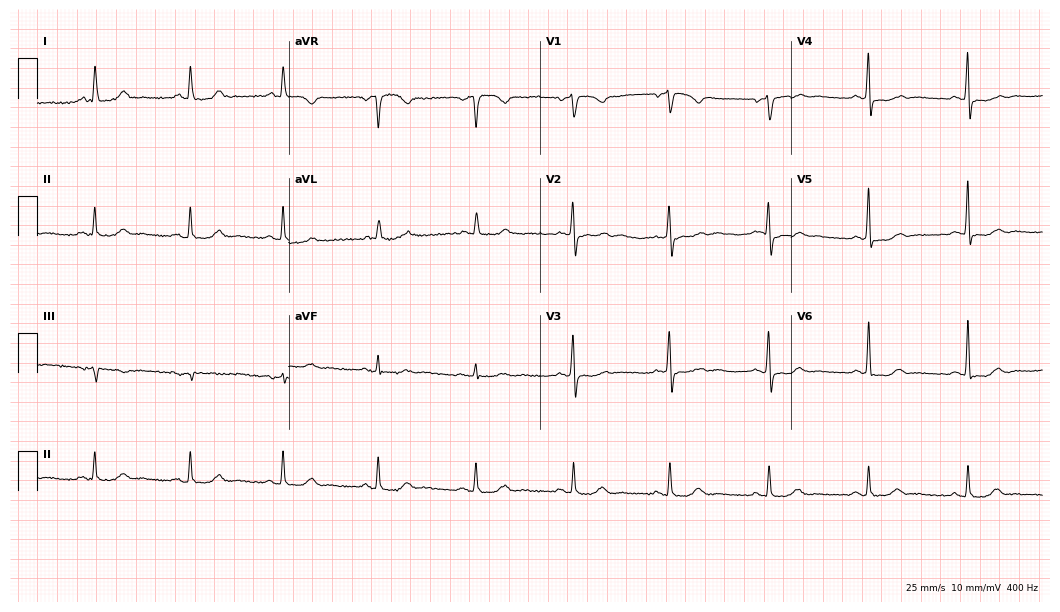
12-lead ECG from a woman, 70 years old (10.2-second recording at 400 Hz). Recorded interpretation: within normal limits.